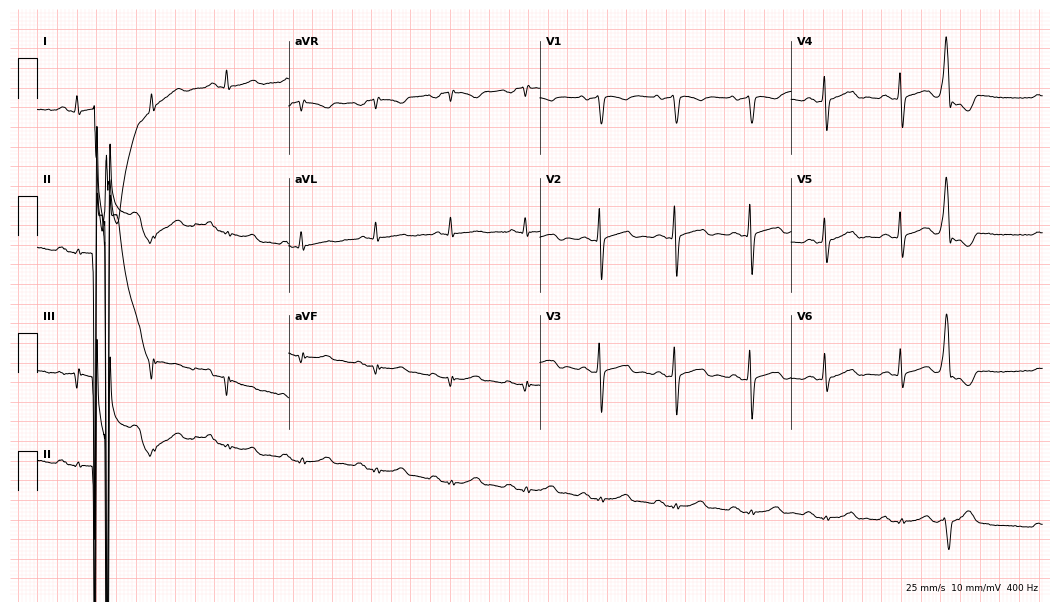
Resting 12-lead electrocardiogram (10.2-second recording at 400 Hz). Patient: a man, 73 years old. None of these six findings is recorded: first-degree AV block, right bundle branch block (RBBB), left bundle branch block (LBBB), sinus bradycardia, atrial fibrillation (AF), sinus tachycardia. Other findings, if any, are not listed.